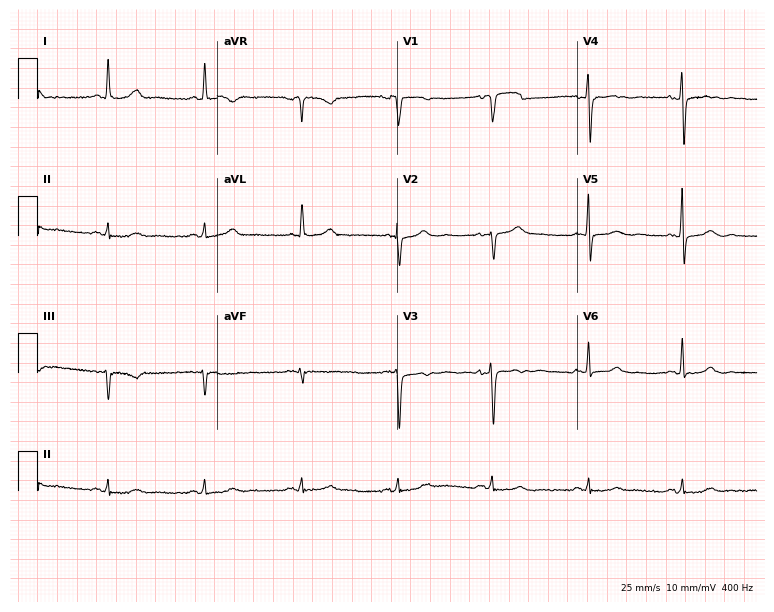
Resting 12-lead electrocardiogram. Patient: a 67-year-old woman. None of these six findings is recorded: first-degree AV block, right bundle branch block, left bundle branch block, sinus bradycardia, atrial fibrillation, sinus tachycardia.